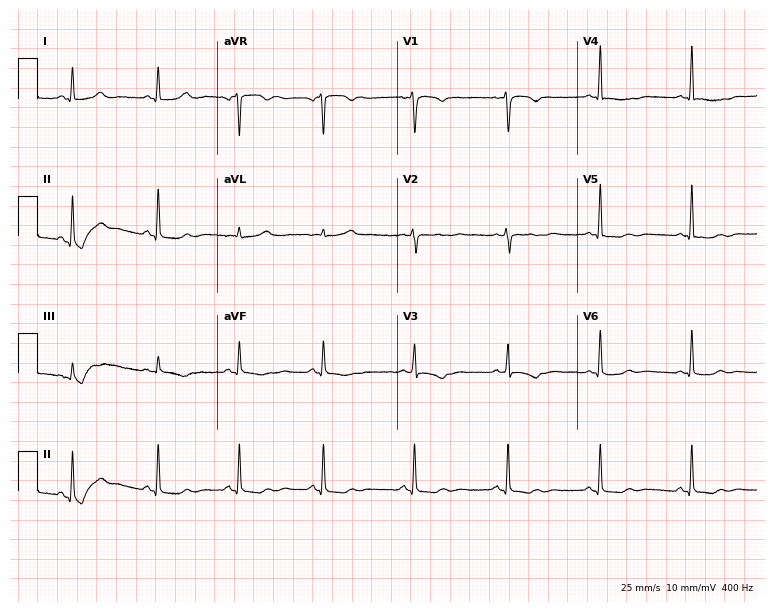
ECG (7.3-second recording at 400 Hz) — a female, 37 years old. Screened for six findings — first-degree AV block, right bundle branch block, left bundle branch block, sinus bradycardia, atrial fibrillation, sinus tachycardia — none is recorded.